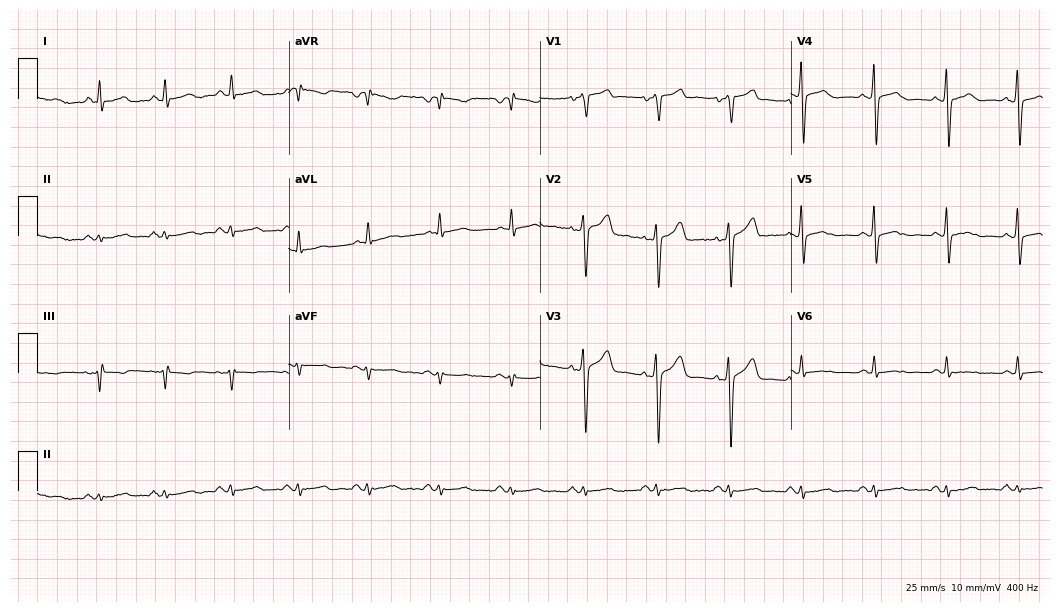
Electrocardiogram (10.2-second recording at 400 Hz), a male, 53 years old. Overall reading on record: normal ECG.